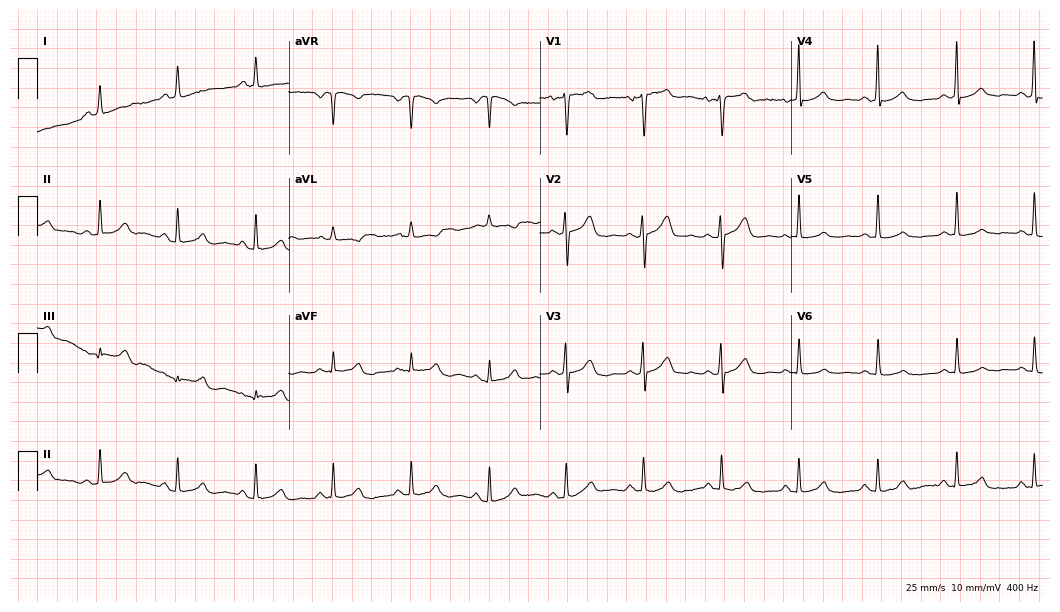
Electrocardiogram (10.2-second recording at 400 Hz), a female, 36 years old. Overall reading on record: normal ECG.